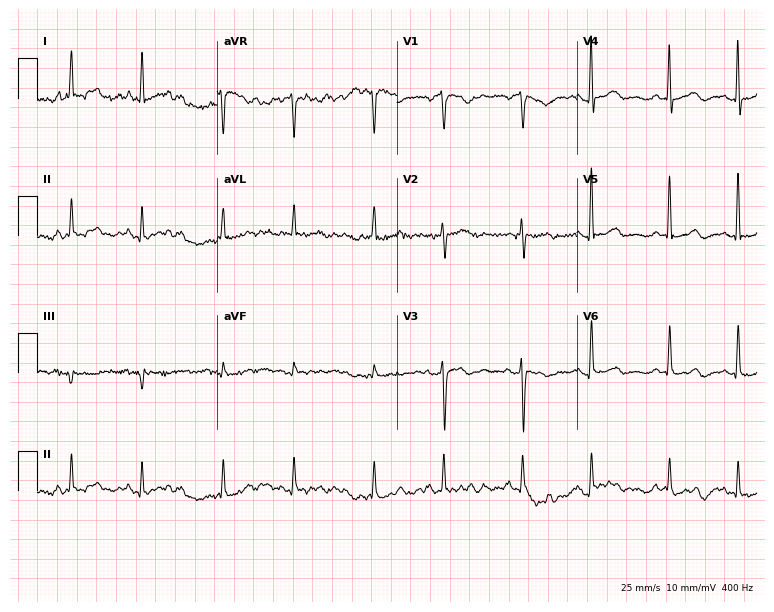
12-lead ECG from a female, 81 years old. No first-degree AV block, right bundle branch block, left bundle branch block, sinus bradycardia, atrial fibrillation or sinus tachycardia recorded for this tracing. Only these six findings were labelled.